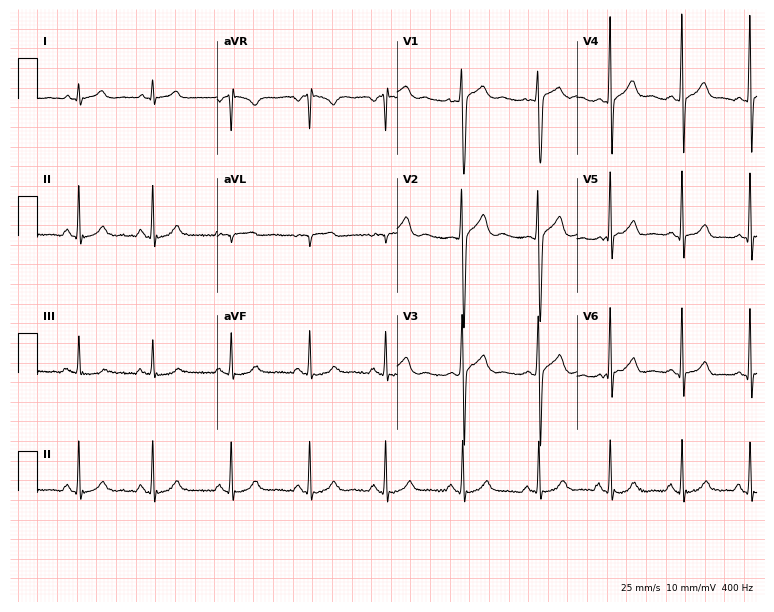
Resting 12-lead electrocardiogram. Patient: a 20-year-old male. Read as a normal ECG.